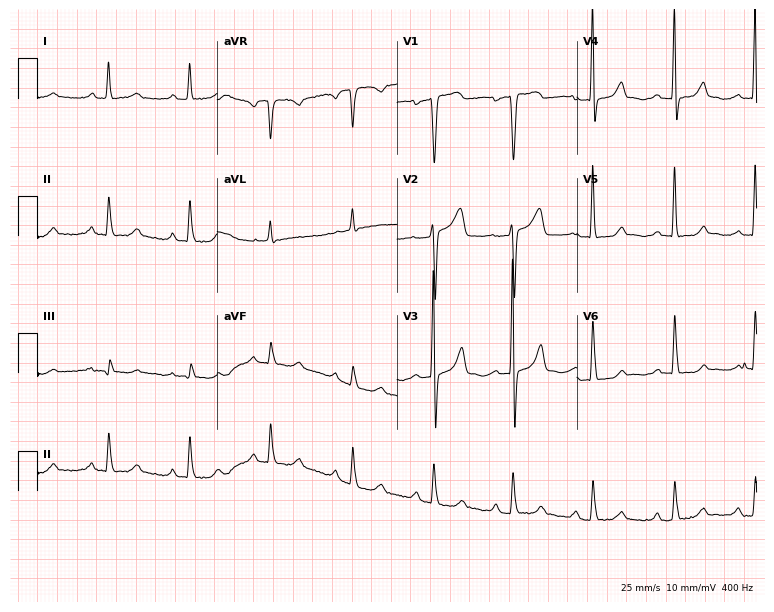
Resting 12-lead electrocardiogram. Patient: a female, 55 years old. None of these six findings is recorded: first-degree AV block, right bundle branch block (RBBB), left bundle branch block (LBBB), sinus bradycardia, atrial fibrillation (AF), sinus tachycardia.